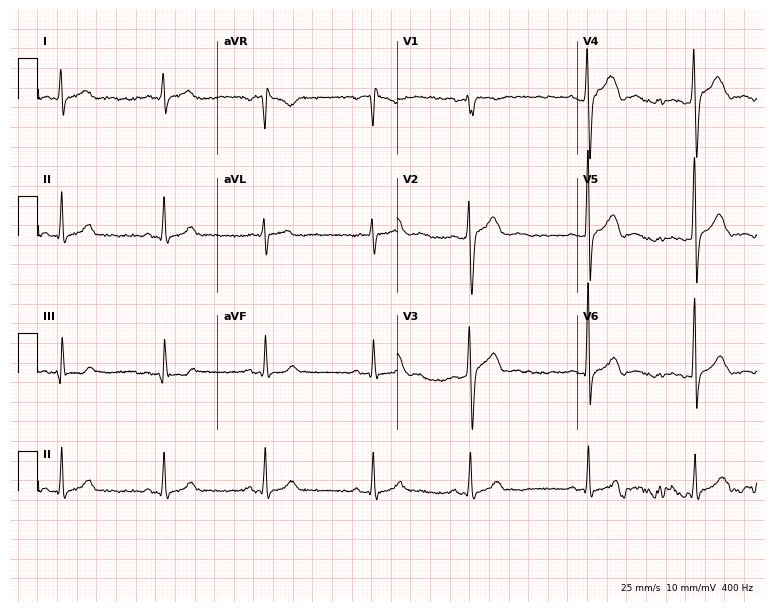
12-lead ECG (7.3-second recording at 400 Hz) from a 28-year-old male patient. Labelled as a normal ECG.